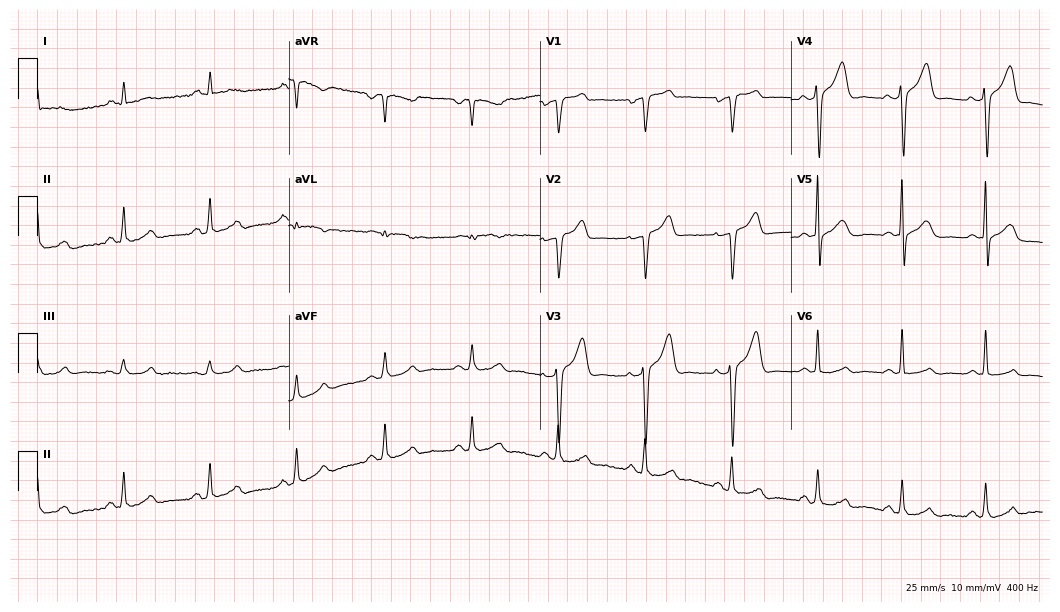
ECG — a man, 59 years old. Screened for six findings — first-degree AV block, right bundle branch block (RBBB), left bundle branch block (LBBB), sinus bradycardia, atrial fibrillation (AF), sinus tachycardia — none is recorded. Other findings, if any, are not listed.